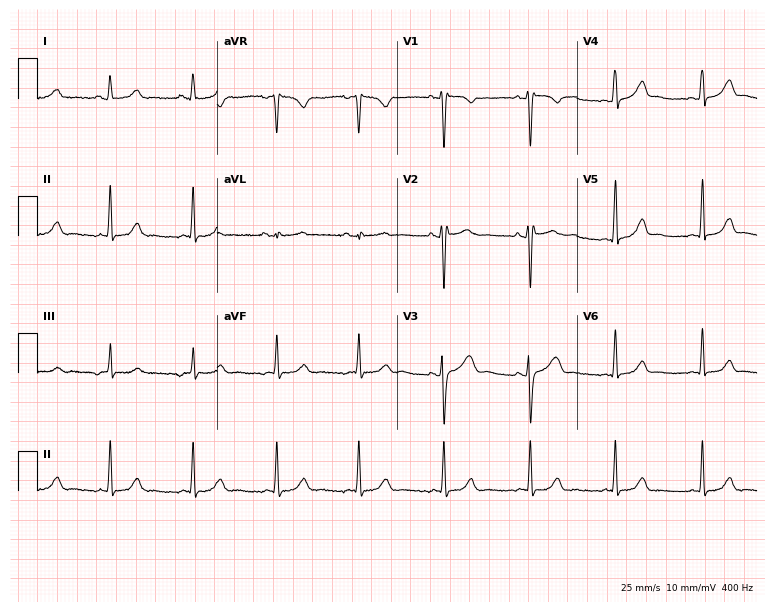
Standard 12-lead ECG recorded from a 34-year-old woman (7.3-second recording at 400 Hz). None of these six findings is recorded: first-degree AV block, right bundle branch block (RBBB), left bundle branch block (LBBB), sinus bradycardia, atrial fibrillation (AF), sinus tachycardia.